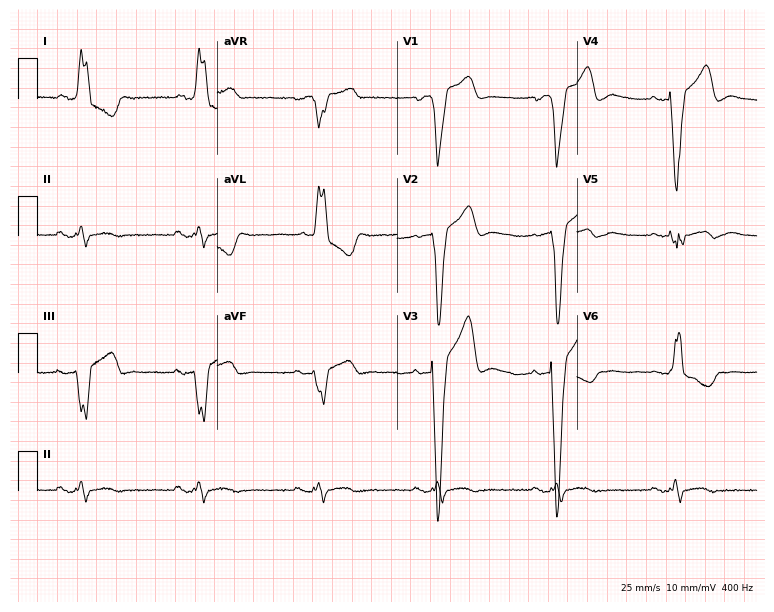
Resting 12-lead electrocardiogram (7.3-second recording at 400 Hz). Patient: a female, 71 years old. The tracing shows left bundle branch block.